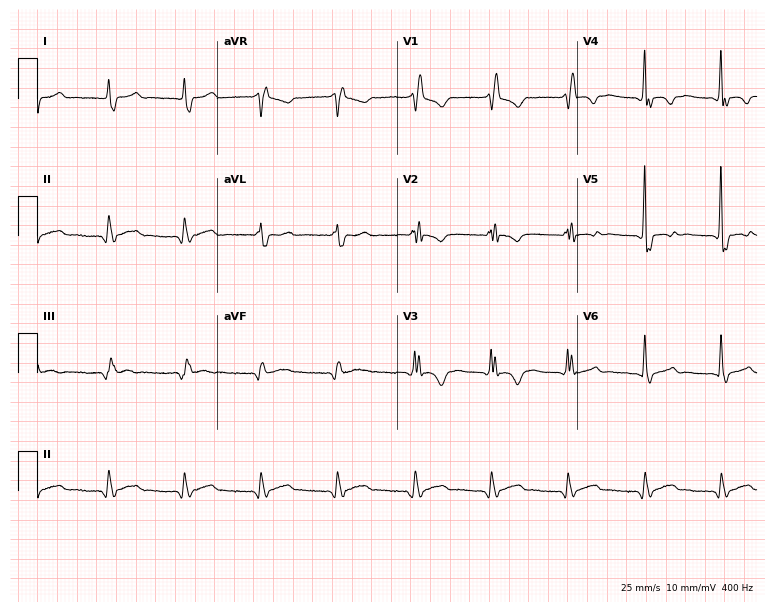
Standard 12-lead ECG recorded from a 79-year-old man. None of these six findings is recorded: first-degree AV block, right bundle branch block (RBBB), left bundle branch block (LBBB), sinus bradycardia, atrial fibrillation (AF), sinus tachycardia. Other findings, if any, are not listed.